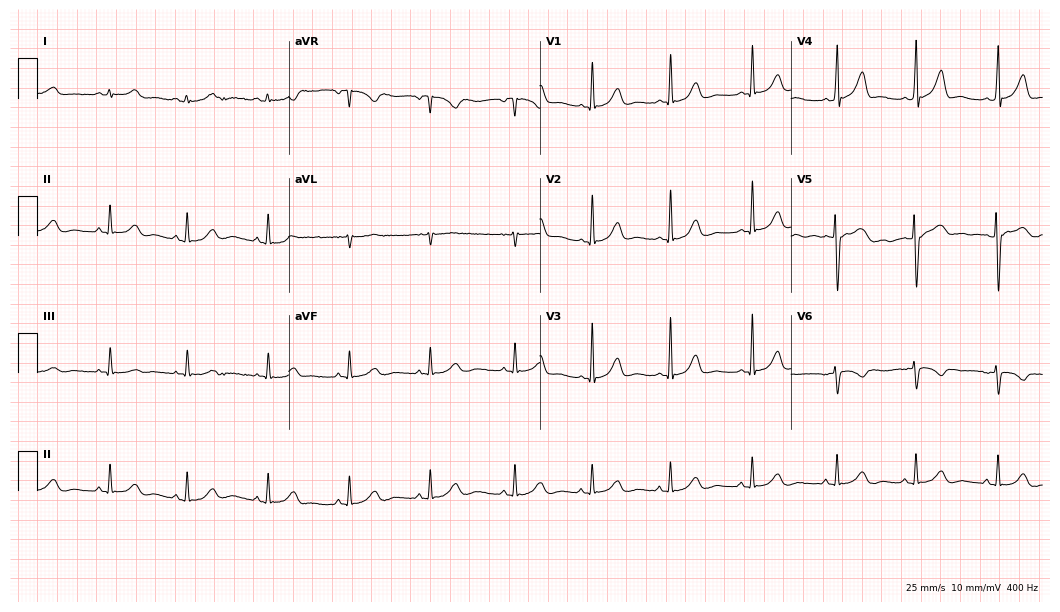
Resting 12-lead electrocardiogram (10.2-second recording at 400 Hz). Patient: an 18-year-old female. None of these six findings is recorded: first-degree AV block, right bundle branch block (RBBB), left bundle branch block (LBBB), sinus bradycardia, atrial fibrillation (AF), sinus tachycardia. Only these six findings were labelled.